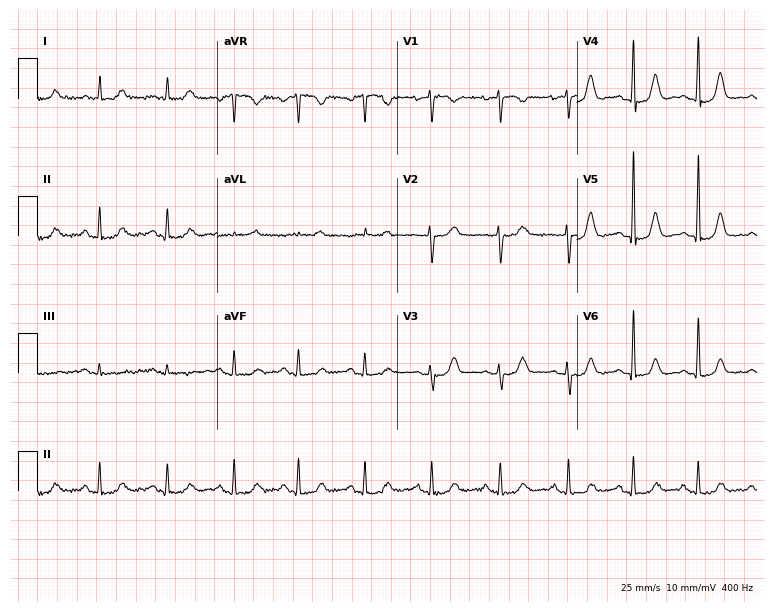
12-lead ECG from a woman, 73 years old (7.3-second recording at 400 Hz). Recorded interpretation: within normal limits.